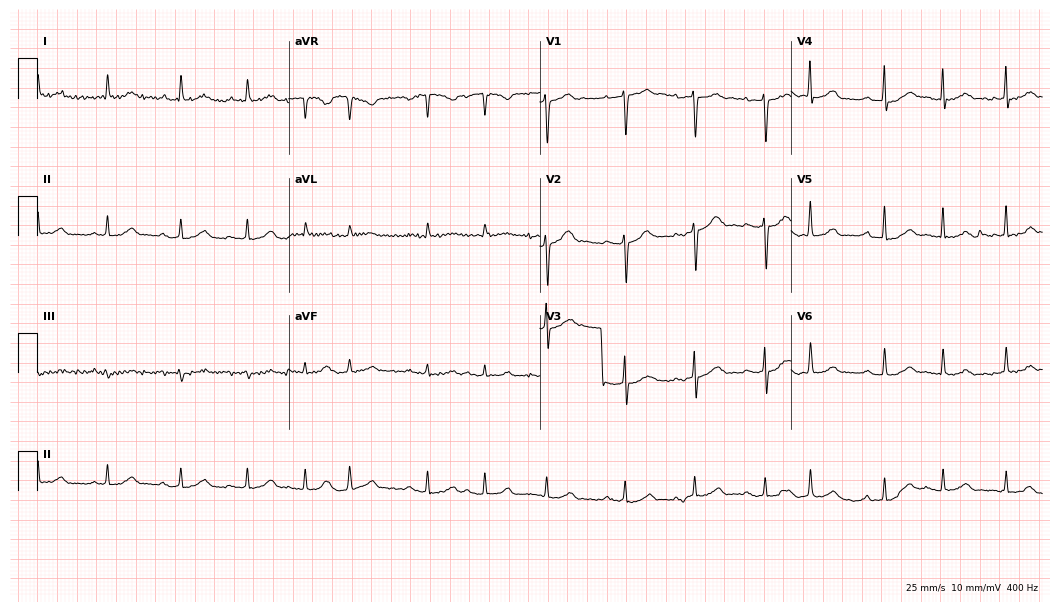
12-lead ECG from a male, 67 years old. Recorded interpretation: within normal limits.